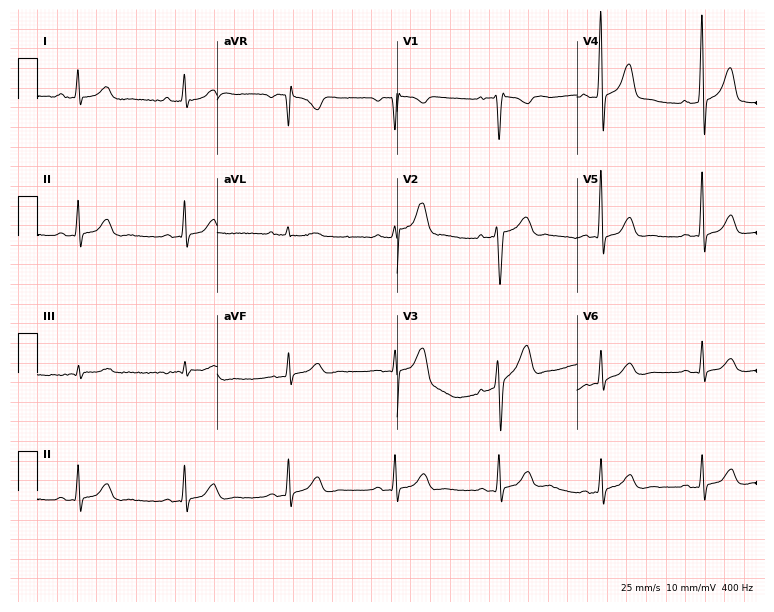
Electrocardiogram, a man, 47 years old. Of the six screened findings (first-degree AV block, right bundle branch block (RBBB), left bundle branch block (LBBB), sinus bradycardia, atrial fibrillation (AF), sinus tachycardia), none is recorded. Only these six findings were labelled.